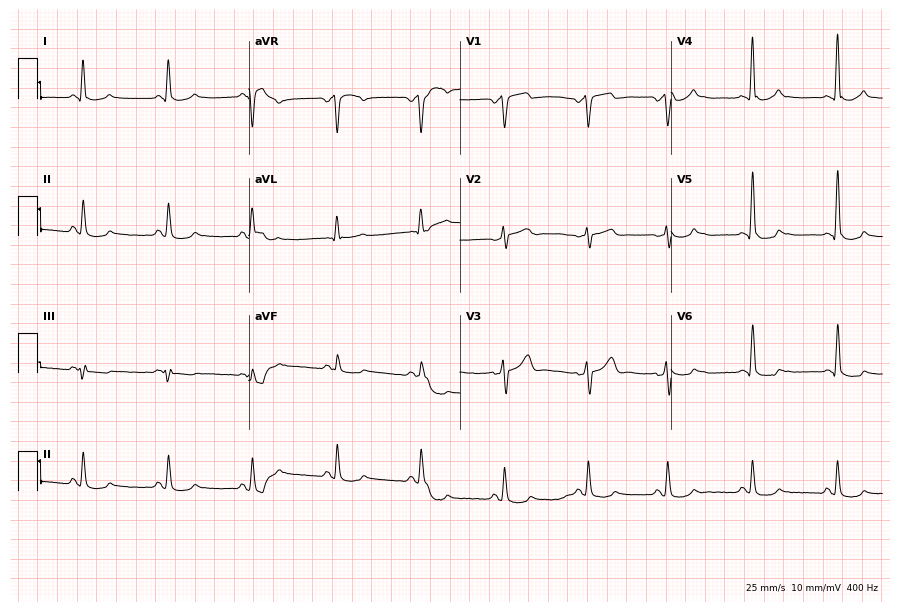
12-lead ECG from a man, 62 years old. No first-degree AV block, right bundle branch block (RBBB), left bundle branch block (LBBB), sinus bradycardia, atrial fibrillation (AF) or sinus tachycardia recorded for this tracing. Only these six findings were labelled.